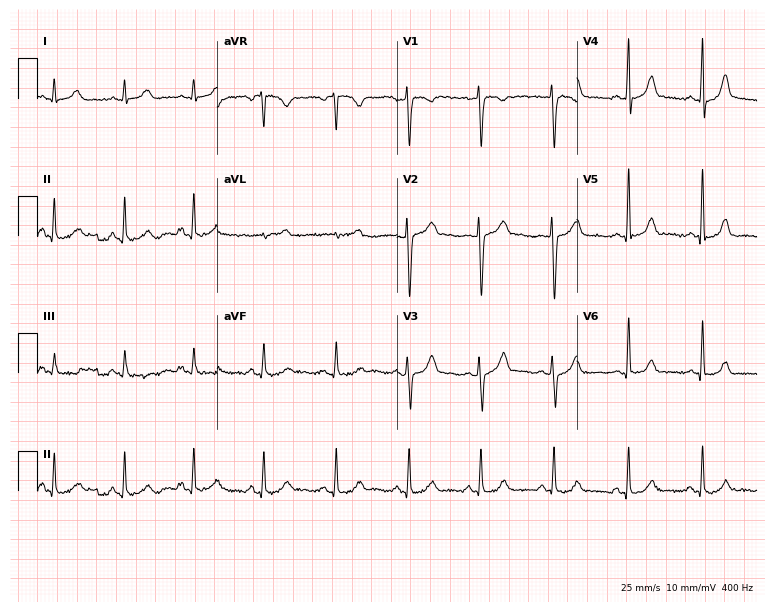
Standard 12-lead ECG recorded from a female patient, 37 years old. None of these six findings is recorded: first-degree AV block, right bundle branch block (RBBB), left bundle branch block (LBBB), sinus bradycardia, atrial fibrillation (AF), sinus tachycardia.